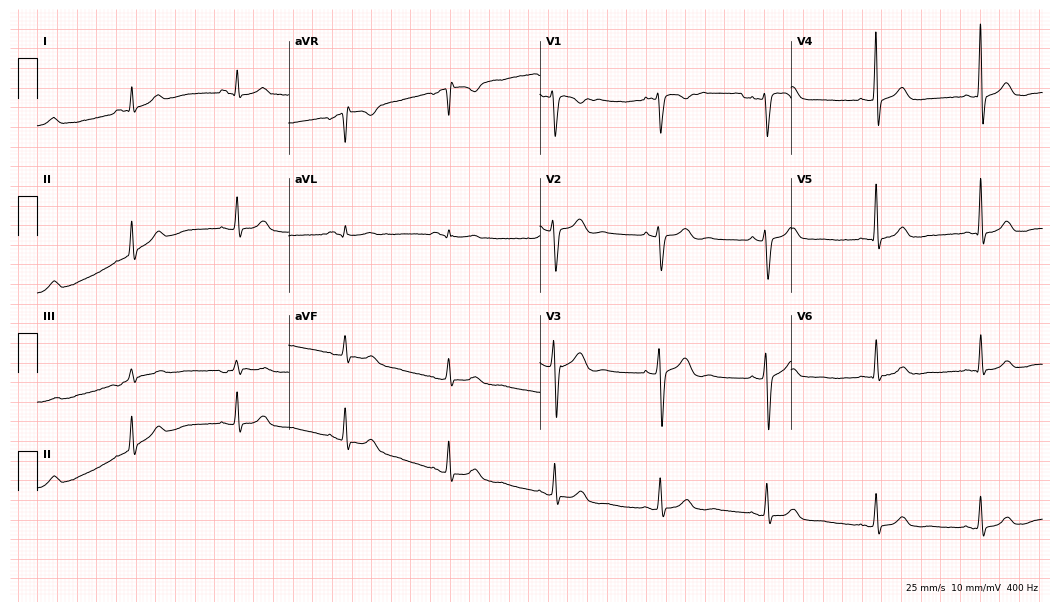
Resting 12-lead electrocardiogram (10.2-second recording at 400 Hz). Patient: a male, 43 years old. None of these six findings is recorded: first-degree AV block, right bundle branch block (RBBB), left bundle branch block (LBBB), sinus bradycardia, atrial fibrillation (AF), sinus tachycardia. Findings outside these six are not listed.